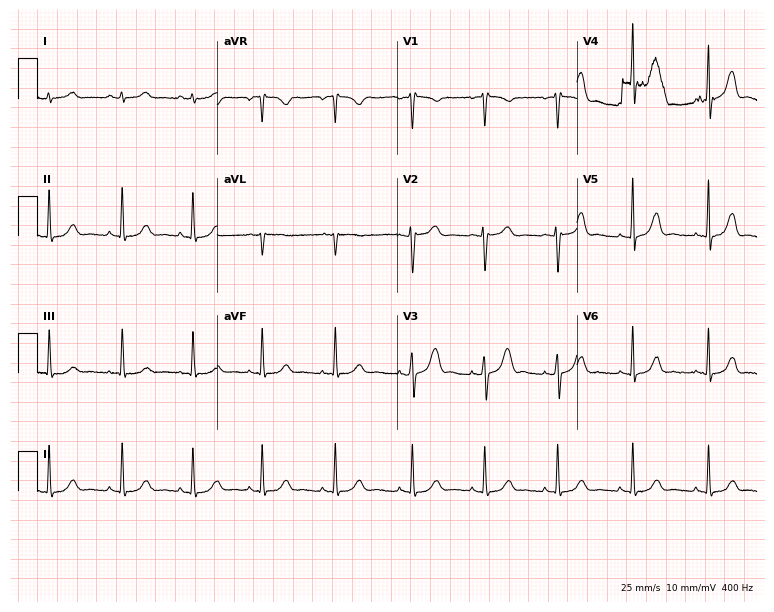
Standard 12-lead ECG recorded from a 28-year-old female. None of these six findings is recorded: first-degree AV block, right bundle branch block (RBBB), left bundle branch block (LBBB), sinus bradycardia, atrial fibrillation (AF), sinus tachycardia.